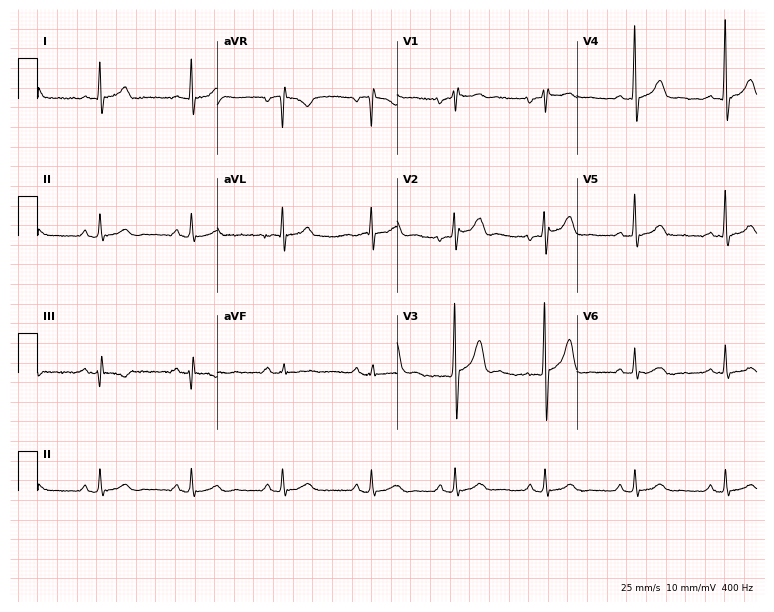
Resting 12-lead electrocardiogram. Patient: a male, 49 years old. None of these six findings is recorded: first-degree AV block, right bundle branch block, left bundle branch block, sinus bradycardia, atrial fibrillation, sinus tachycardia. Other findings, if any, are not listed.